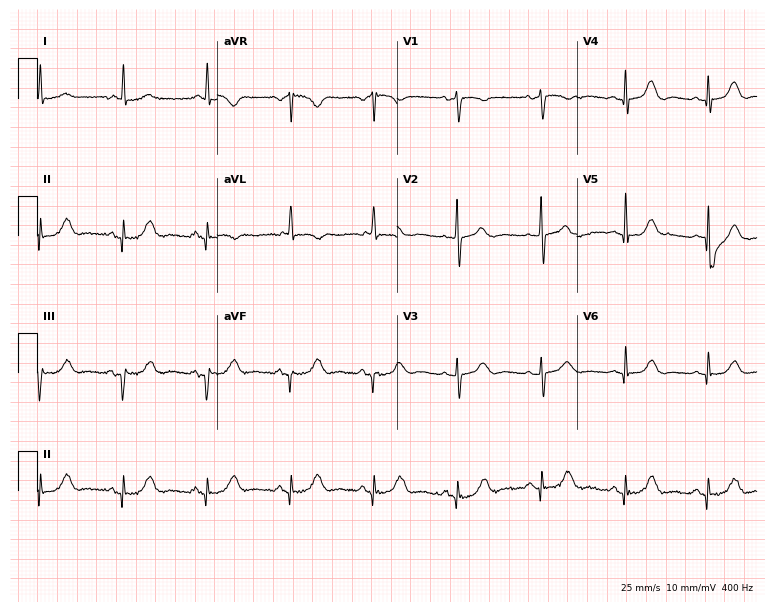
12-lead ECG (7.3-second recording at 400 Hz) from a 74-year-old male patient. Labelled as a normal ECG.